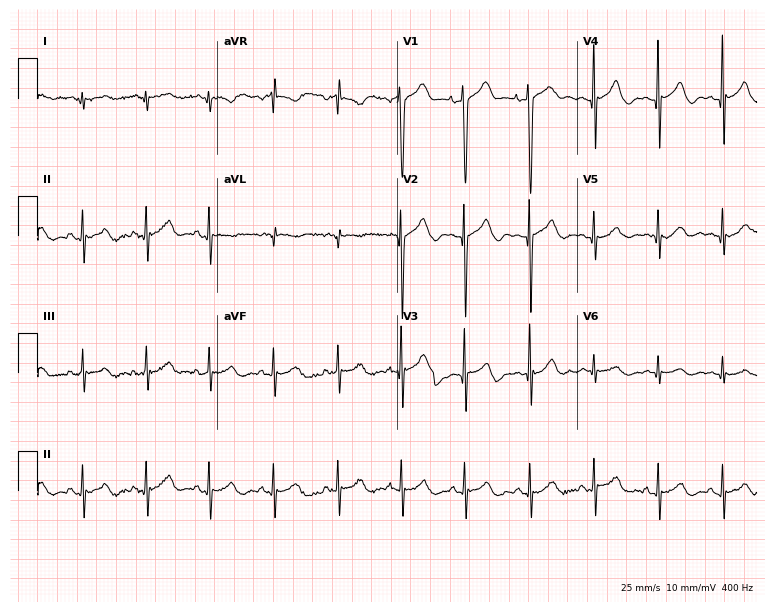
Resting 12-lead electrocardiogram. Patient: a 33-year-old man. Read as a normal ECG.